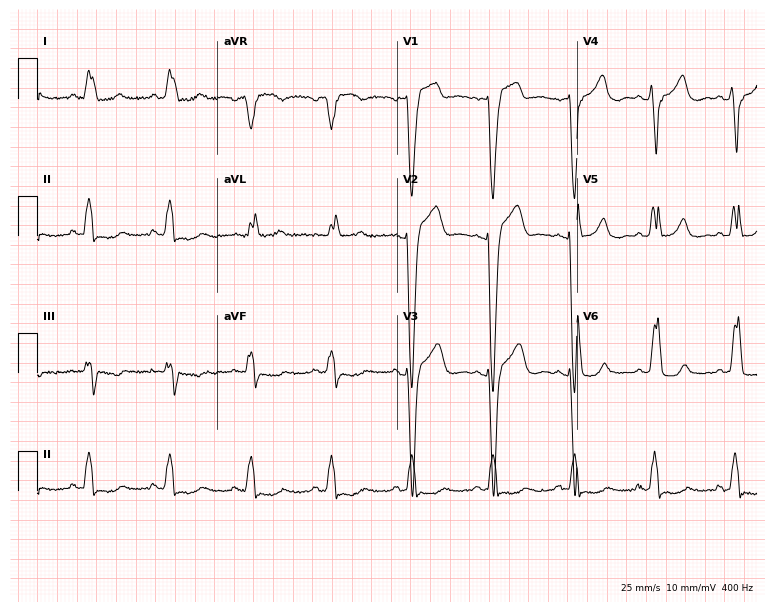
ECG (7.3-second recording at 400 Hz) — a 52-year-old female. Findings include left bundle branch block.